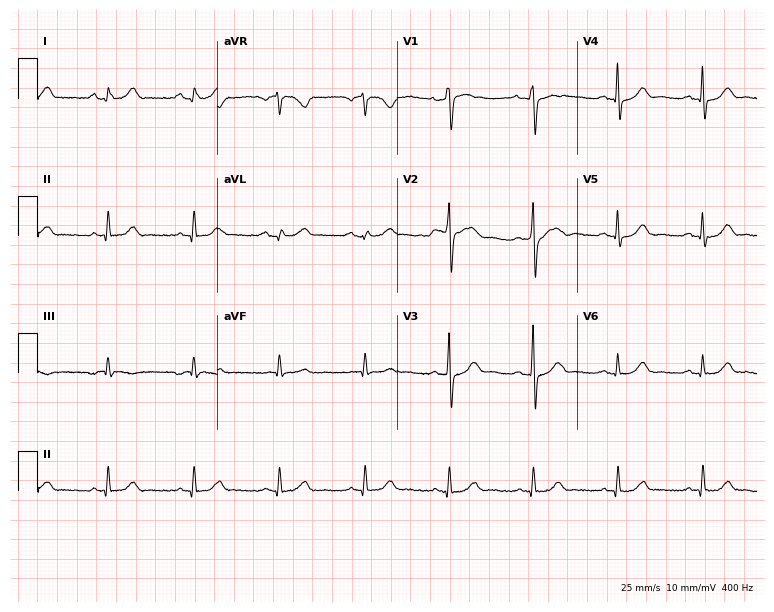
Standard 12-lead ECG recorded from a male, 70 years old (7.3-second recording at 400 Hz). Read as a normal ECG.